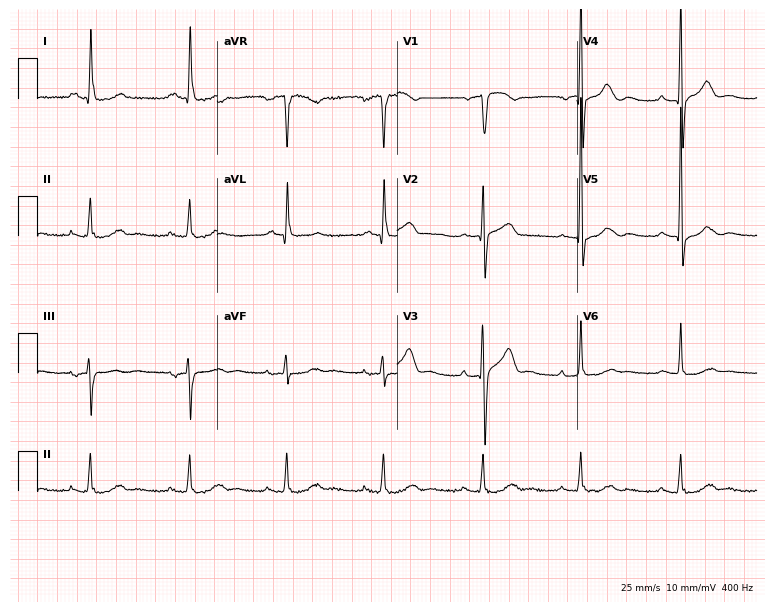
Resting 12-lead electrocardiogram (7.3-second recording at 400 Hz). Patient: a male, 62 years old. Read as a normal ECG.